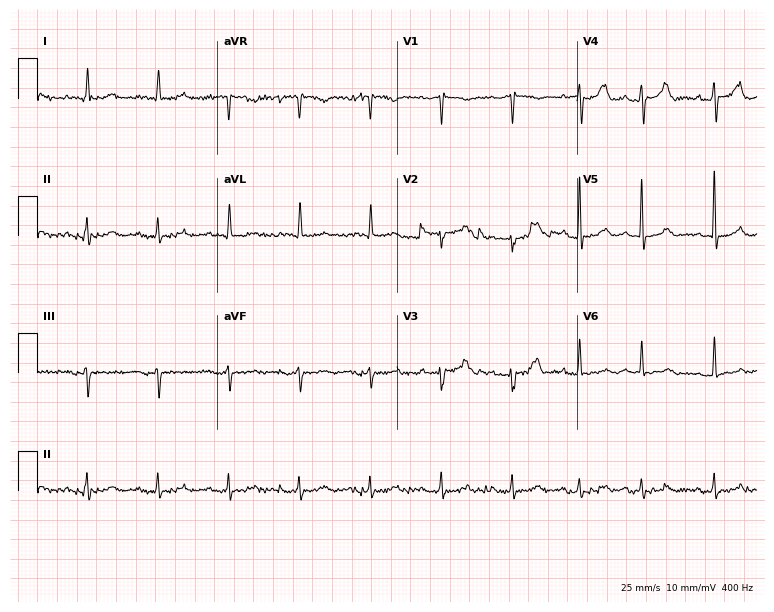
12-lead ECG from a man, 81 years old. Screened for six findings — first-degree AV block, right bundle branch block (RBBB), left bundle branch block (LBBB), sinus bradycardia, atrial fibrillation (AF), sinus tachycardia — none is recorded. Other findings, if any, are not listed.